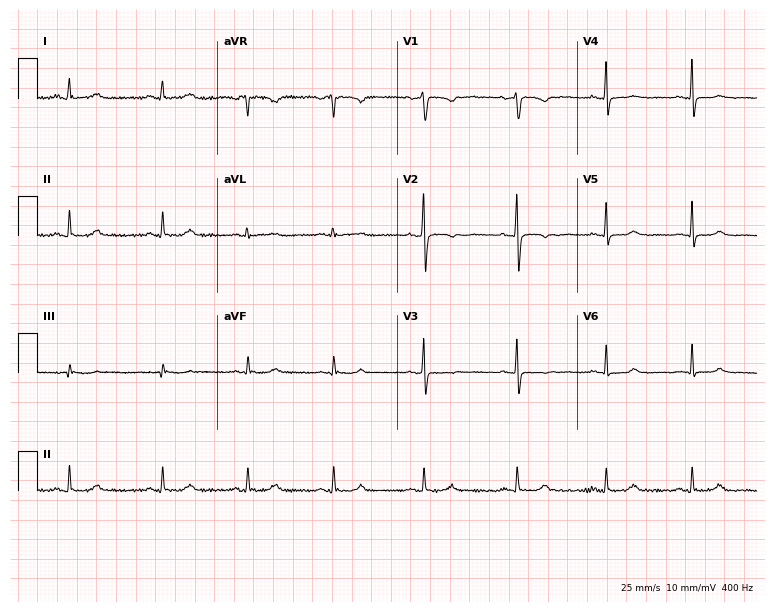
Resting 12-lead electrocardiogram (7.3-second recording at 400 Hz). Patient: a woman, 28 years old. None of these six findings is recorded: first-degree AV block, right bundle branch block (RBBB), left bundle branch block (LBBB), sinus bradycardia, atrial fibrillation (AF), sinus tachycardia. Findings outside these six are not listed.